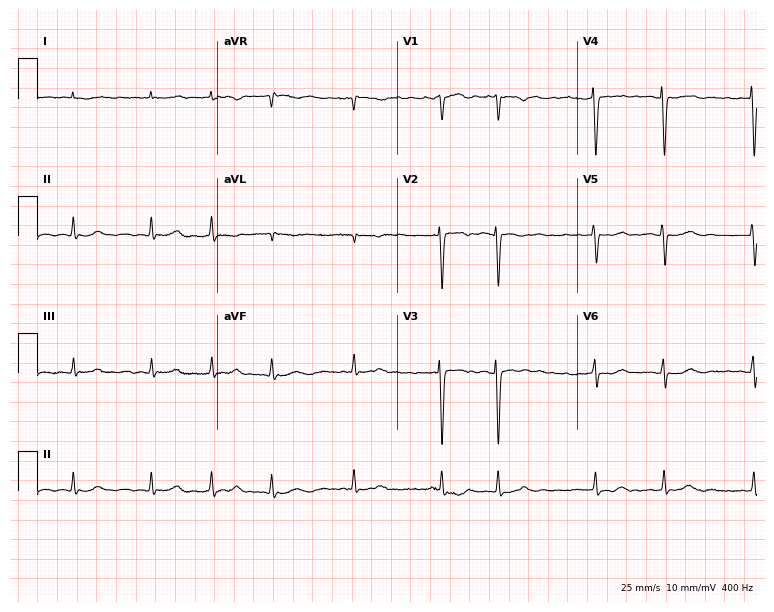
Standard 12-lead ECG recorded from an 81-year-old female. The tracing shows atrial fibrillation.